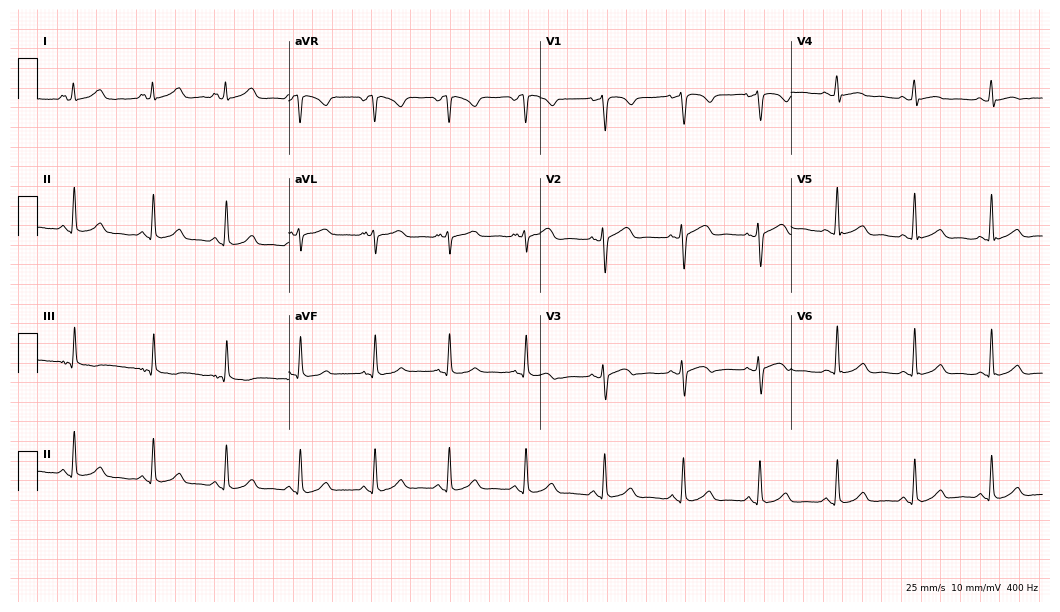
Resting 12-lead electrocardiogram. Patient: a female, 45 years old. Read as a normal ECG.